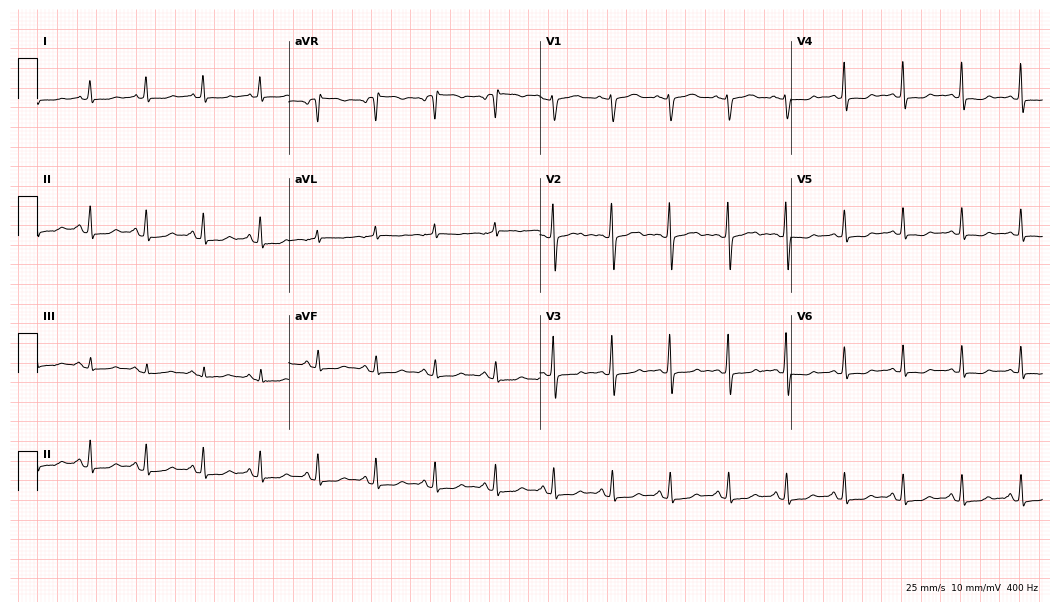
12-lead ECG from a woman, 41 years old. No first-degree AV block, right bundle branch block, left bundle branch block, sinus bradycardia, atrial fibrillation or sinus tachycardia recorded for this tracing. Other findings, if any, are not listed.